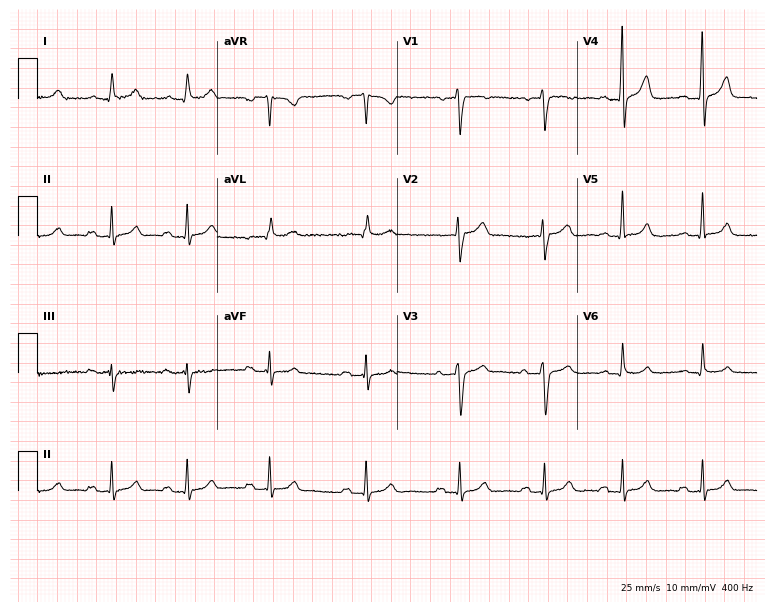
Resting 12-lead electrocardiogram (7.3-second recording at 400 Hz). Patient: a 38-year-old male. The tracing shows first-degree AV block.